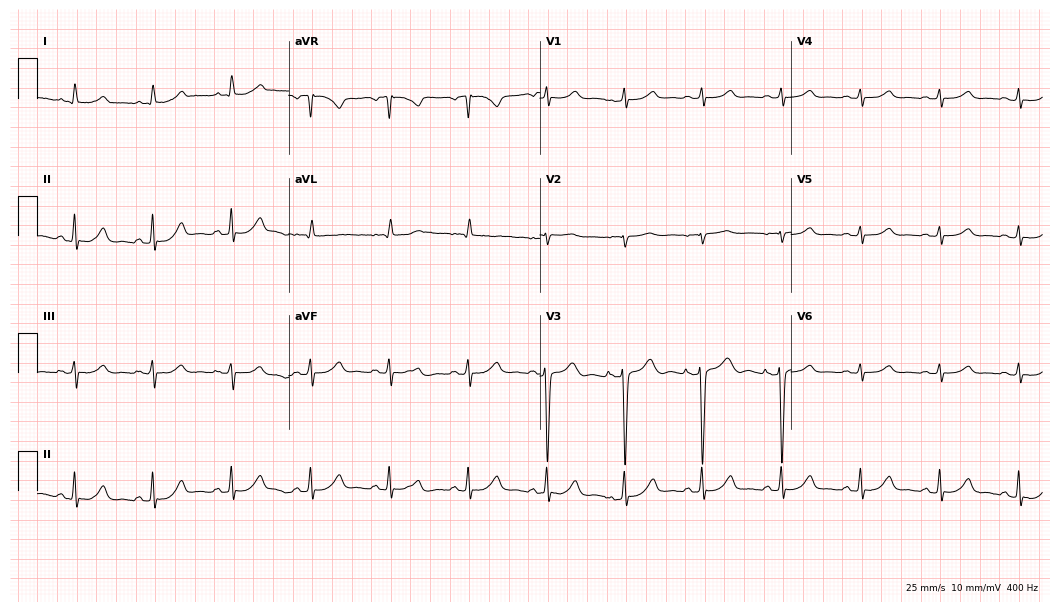
Standard 12-lead ECG recorded from a male, 69 years old. None of these six findings is recorded: first-degree AV block, right bundle branch block, left bundle branch block, sinus bradycardia, atrial fibrillation, sinus tachycardia. Other findings, if any, are not listed.